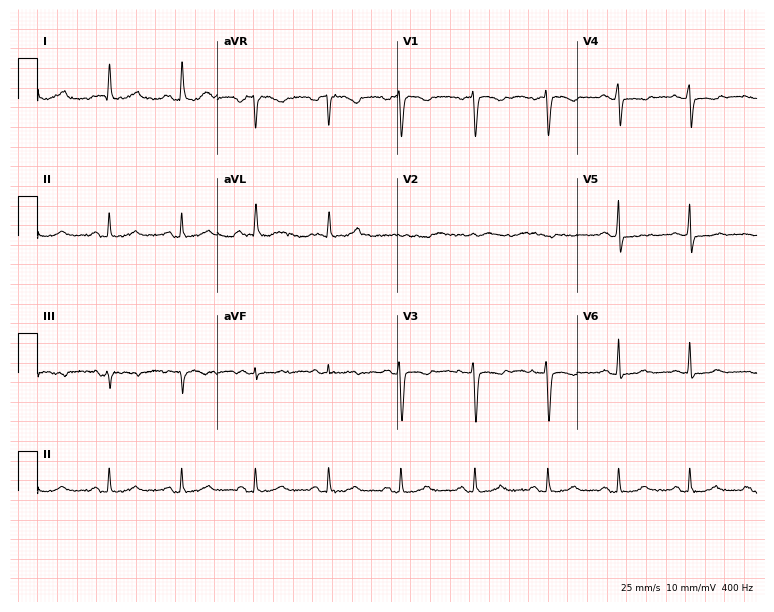
12-lead ECG (7.3-second recording at 400 Hz) from a 43-year-old female. Screened for six findings — first-degree AV block, right bundle branch block (RBBB), left bundle branch block (LBBB), sinus bradycardia, atrial fibrillation (AF), sinus tachycardia — none is recorded.